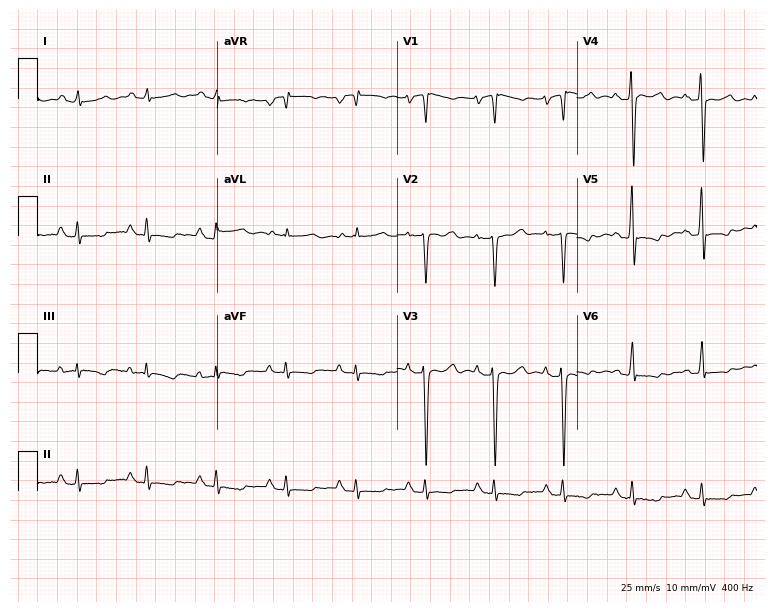
Resting 12-lead electrocardiogram (7.3-second recording at 400 Hz). Patient: a male, 59 years old. None of these six findings is recorded: first-degree AV block, right bundle branch block, left bundle branch block, sinus bradycardia, atrial fibrillation, sinus tachycardia.